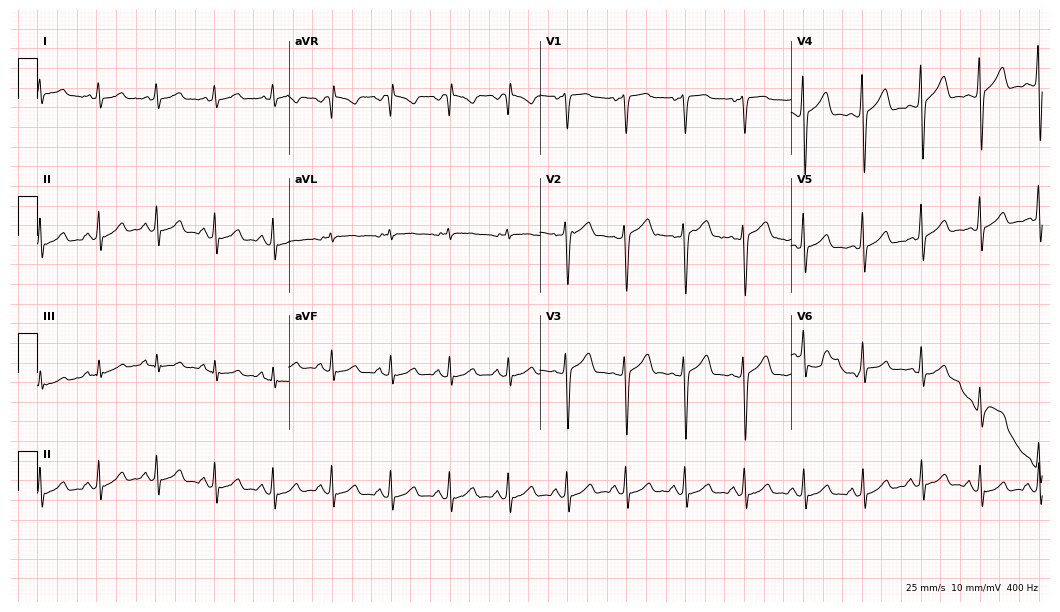
Standard 12-lead ECG recorded from a male, 38 years old (10.2-second recording at 400 Hz). Read as a normal ECG.